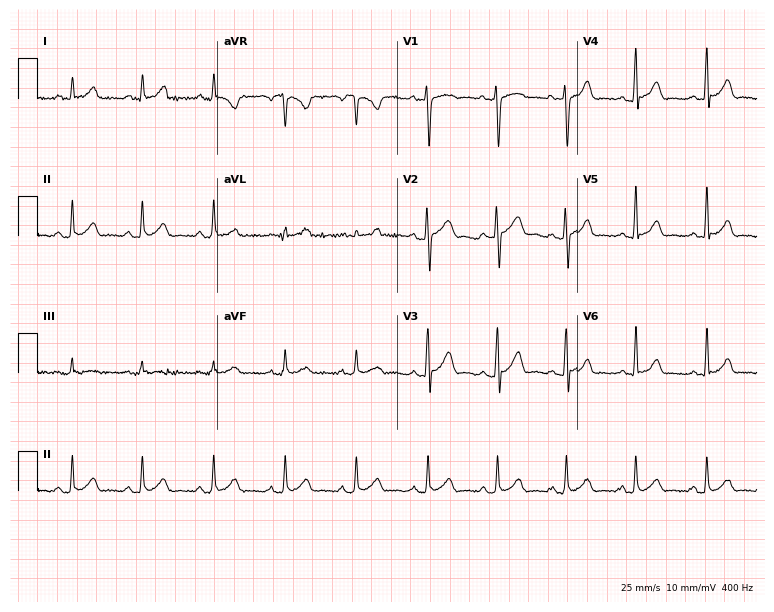
Electrocardiogram, a male, 29 years old. Overall reading on record: normal ECG.